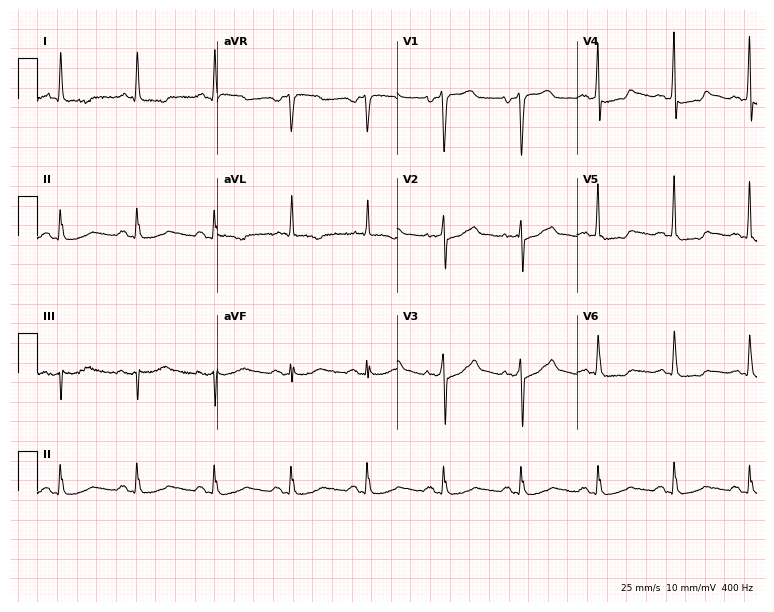
12-lead ECG from a 57-year-old male. Screened for six findings — first-degree AV block, right bundle branch block, left bundle branch block, sinus bradycardia, atrial fibrillation, sinus tachycardia — none is recorded. Other findings, if any, are not listed.